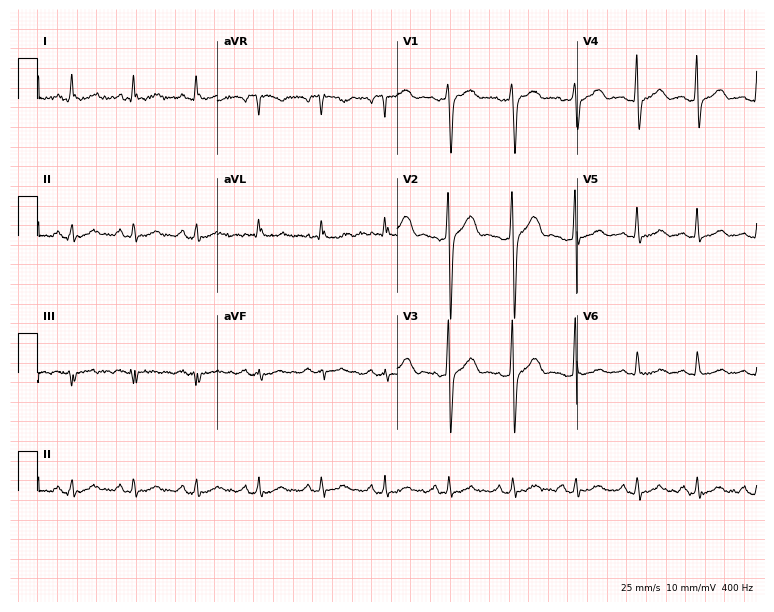
Electrocardiogram, a 39-year-old man. Overall reading on record: normal ECG.